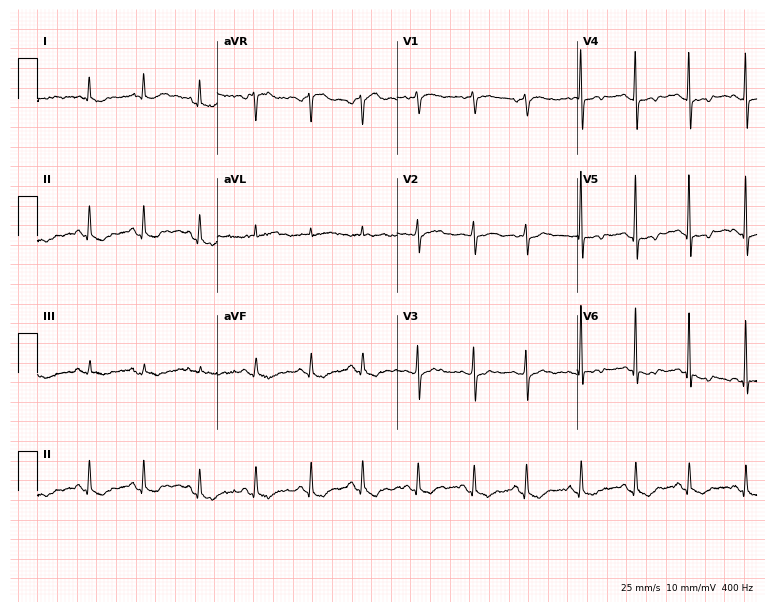
12-lead ECG (7.3-second recording at 400 Hz) from a 77-year-old female. Findings include sinus tachycardia (a sinus rate of 100 beats per minute or more).